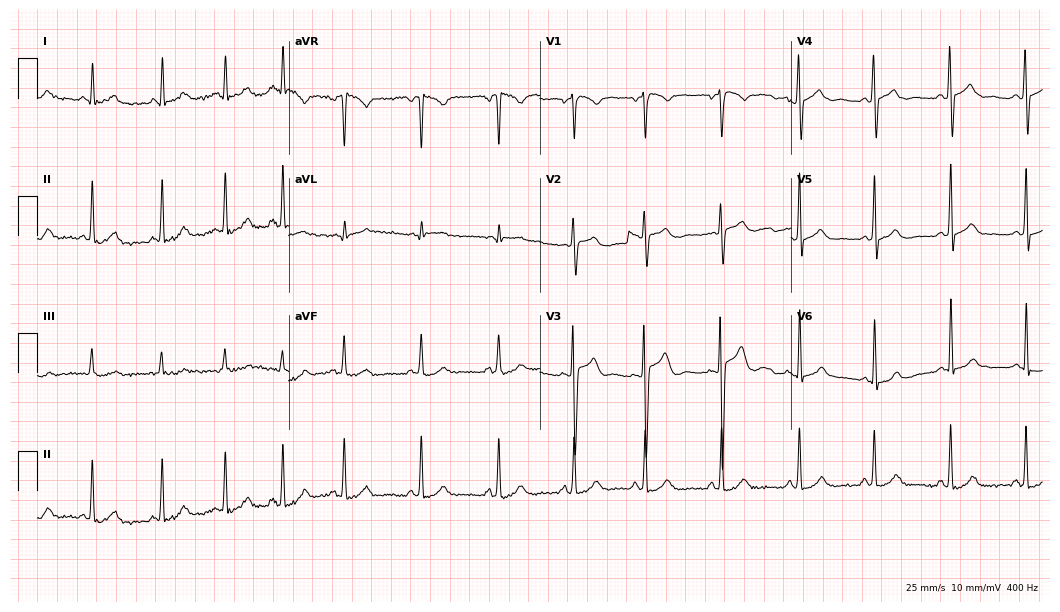
ECG (10.2-second recording at 400 Hz) — a woman, 28 years old. Labelled as a normal ECG.